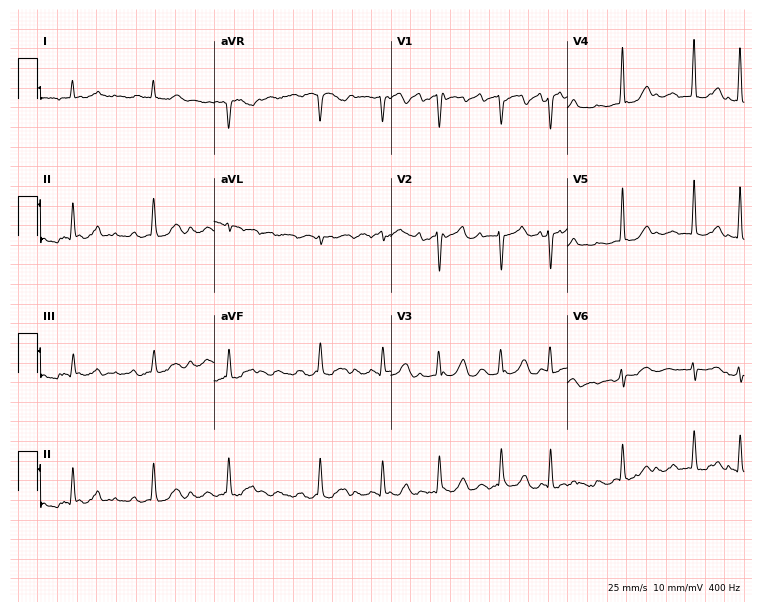
Electrocardiogram (7.2-second recording at 400 Hz), a 72-year-old female patient. Overall reading on record: normal ECG.